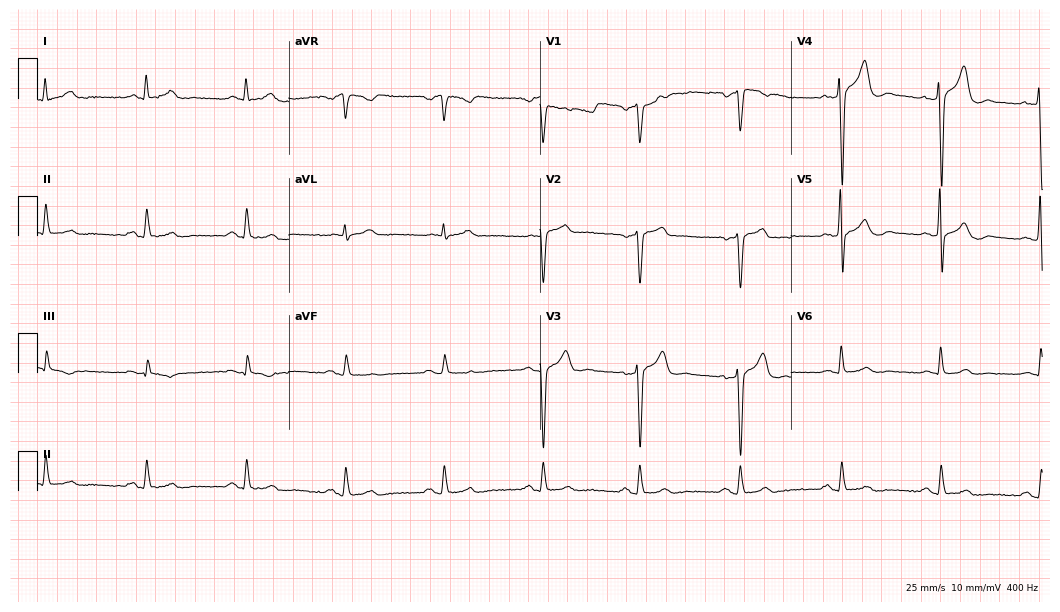
Standard 12-lead ECG recorded from a male patient, 52 years old. None of these six findings is recorded: first-degree AV block, right bundle branch block (RBBB), left bundle branch block (LBBB), sinus bradycardia, atrial fibrillation (AF), sinus tachycardia. Only these six findings were labelled.